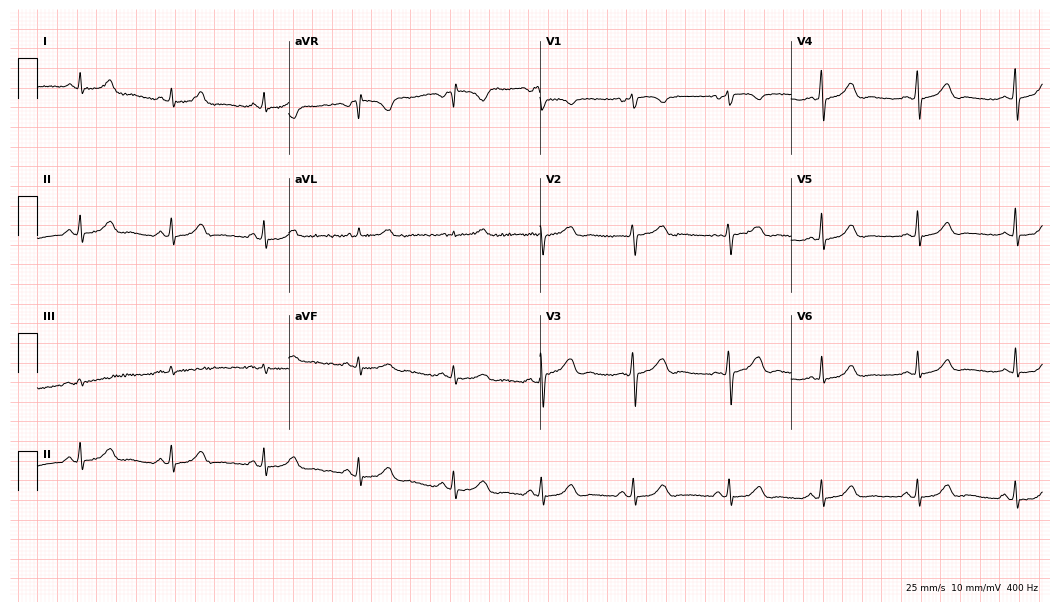
Standard 12-lead ECG recorded from a 24-year-old female. Read as a normal ECG.